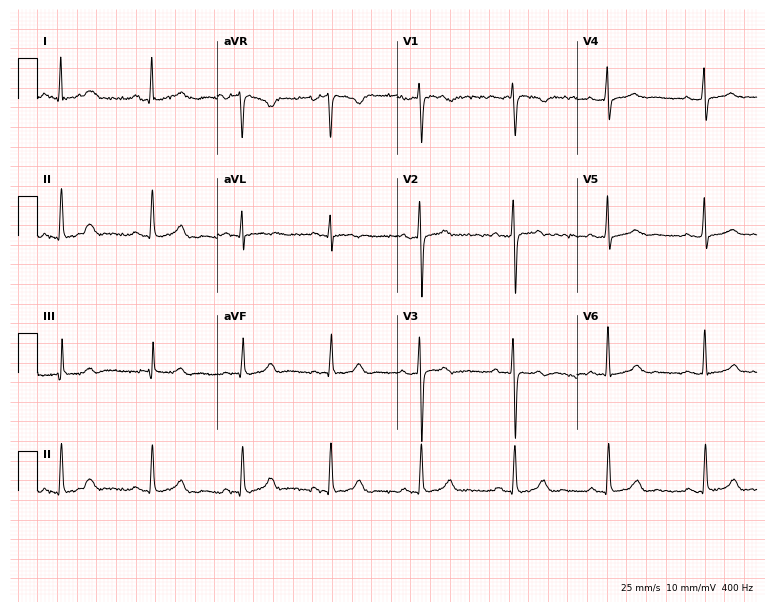
Resting 12-lead electrocardiogram (7.3-second recording at 400 Hz). Patient: a 34-year-old woman. Read as a normal ECG.